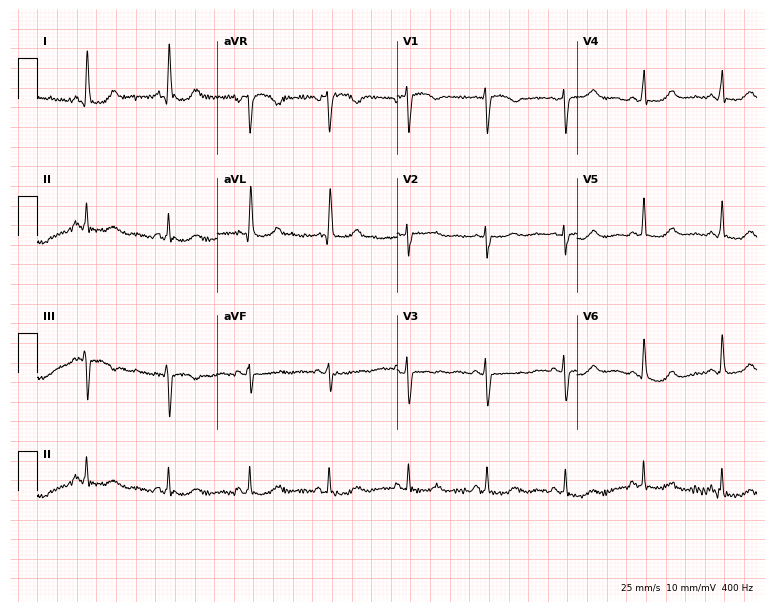
ECG (7.3-second recording at 400 Hz) — a female, 56 years old. Labelled as a normal ECG.